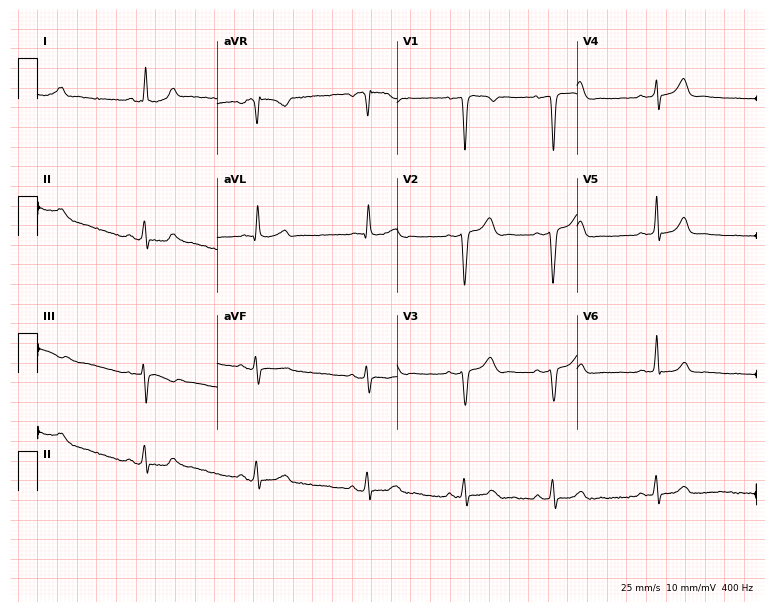
12-lead ECG from a 54-year-old woman. Screened for six findings — first-degree AV block, right bundle branch block, left bundle branch block, sinus bradycardia, atrial fibrillation, sinus tachycardia — none is recorded.